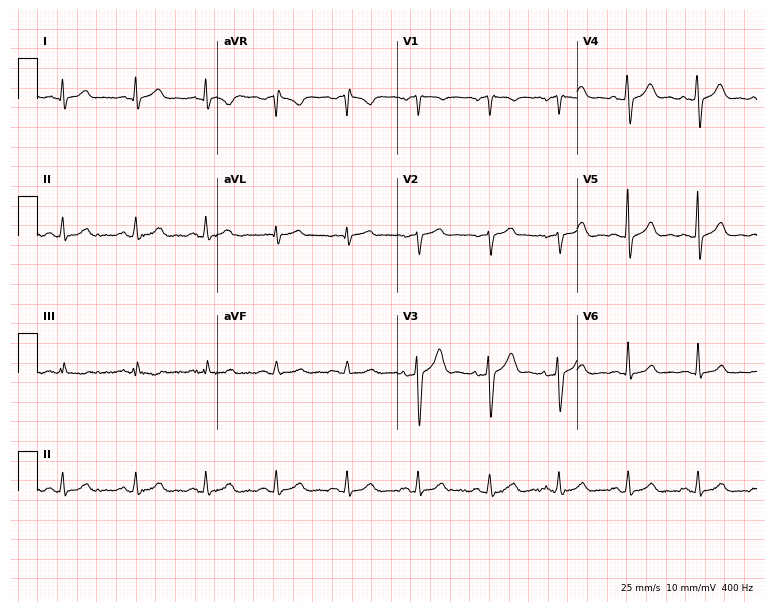
Standard 12-lead ECG recorded from a 45-year-old male patient. Read as a normal ECG.